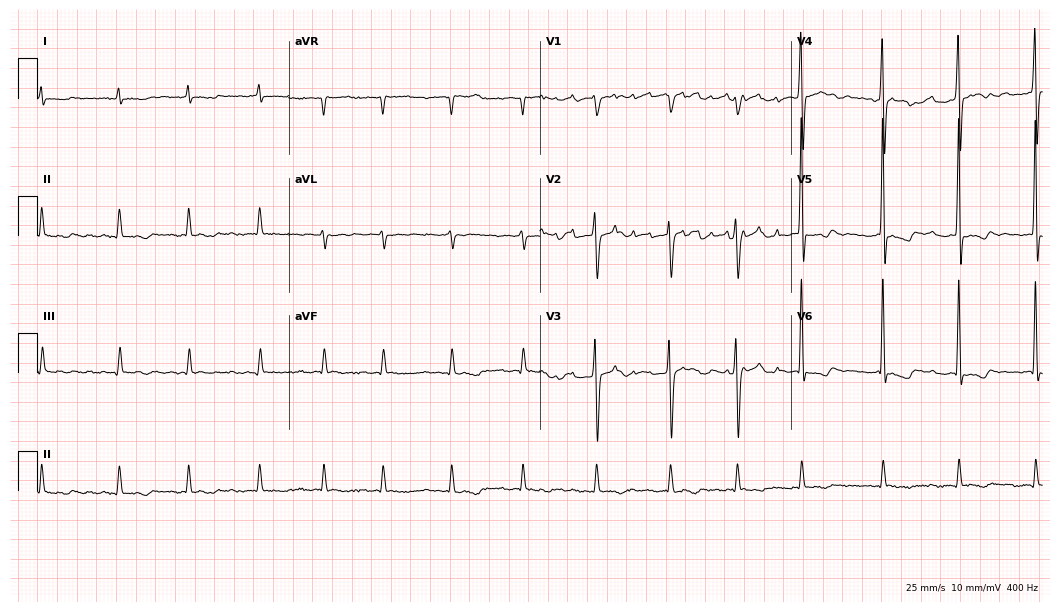
Electrocardiogram, a man, 51 years old. Interpretation includes atrial fibrillation (AF).